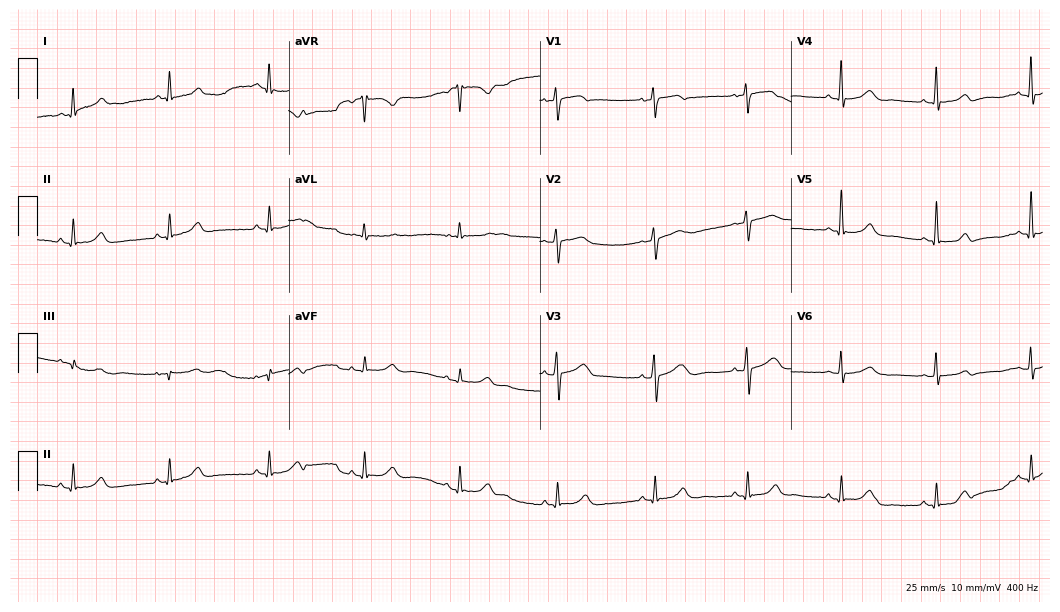
Electrocardiogram, a 53-year-old female. Of the six screened findings (first-degree AV block, right bundle branch block, left bundle branch block, sinus bradycardia, atrial fibrillation, sinus tachycardia), none is recorded.